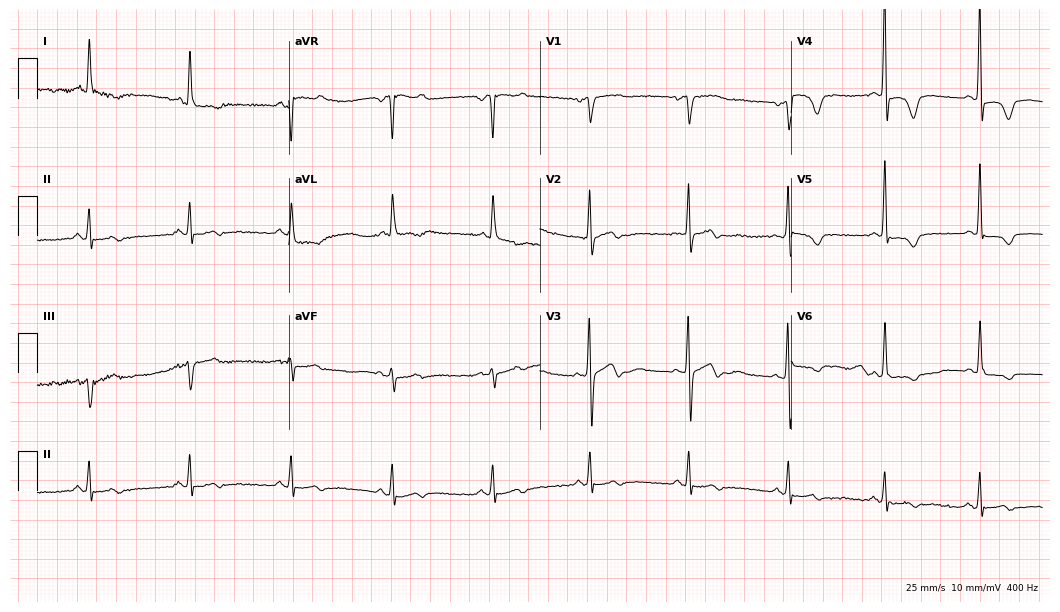
12-lead ECG from a female, 73 years old (10.2-second recording at 400 Hz). No first-degree AV block, right bundle branch block (RBBB), left bundle branch block (LBBB), sinus bradycardia, atrial fibrillation (AF) or sinus tachycardia recorded for this tracing. Findings outside these six are not listed.